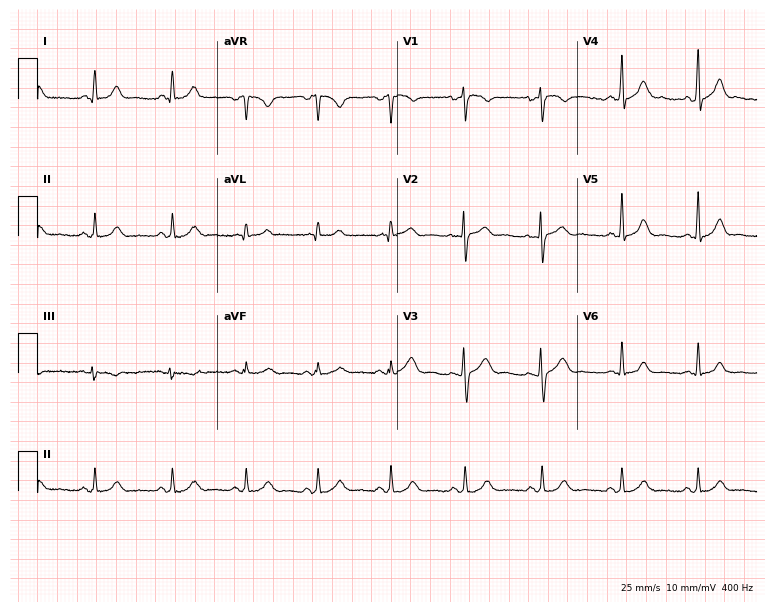
Electrocardiogram, a female patient, 32 years old. Overall reading on record: normal ECG.